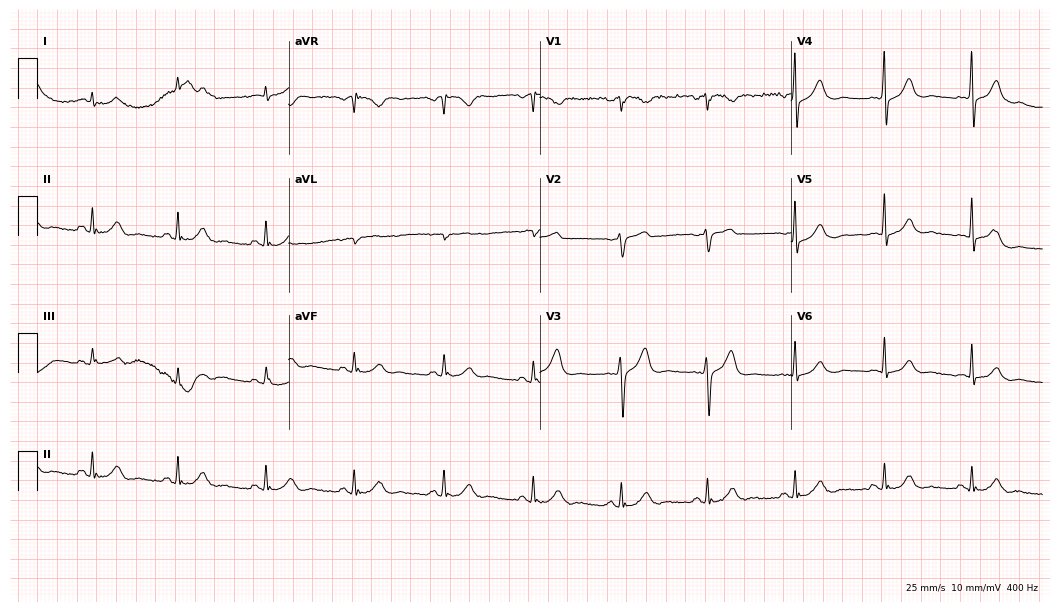
Standard 12-lead ECG recorded from a 54-year-old man. Read as a normal ECG.